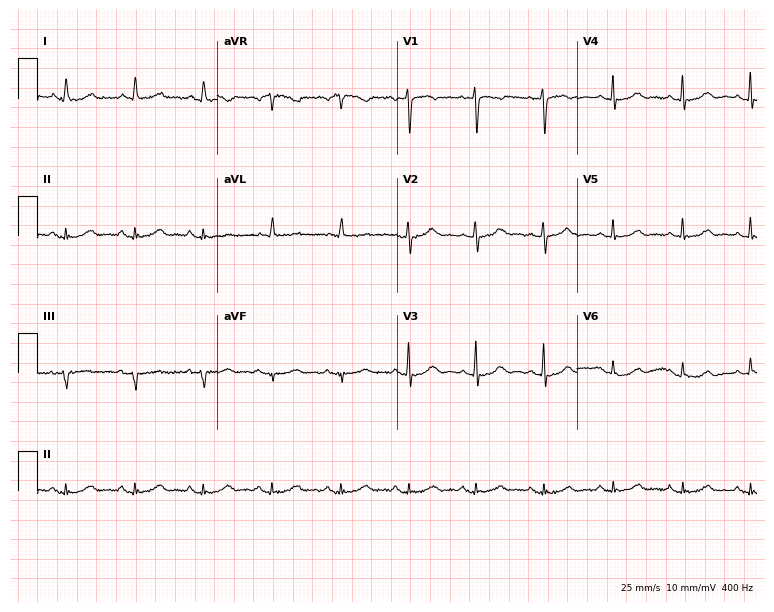
ECG (7.3-second recording at 400 Hz) — a female, 84 years old. Labelled as a normal ECG.